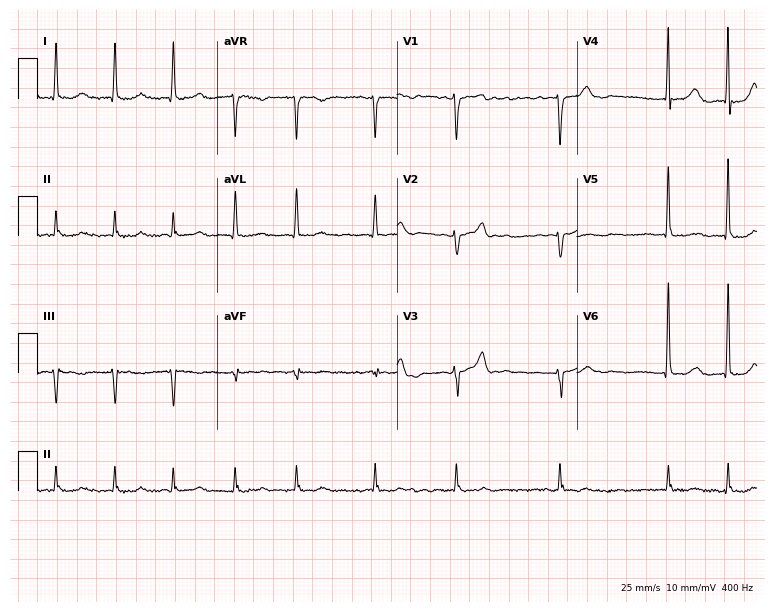
Electrocardiogram, a 73-year-old female. Interpretation includes atrial fibrillation (AF).